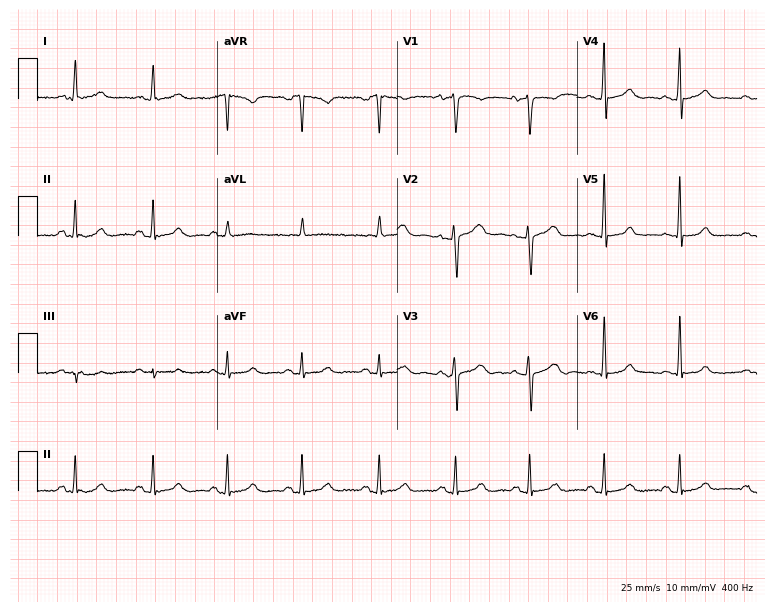
Electrocardiogram, a 29-year-old female. Overall reading on record: normal ECG.